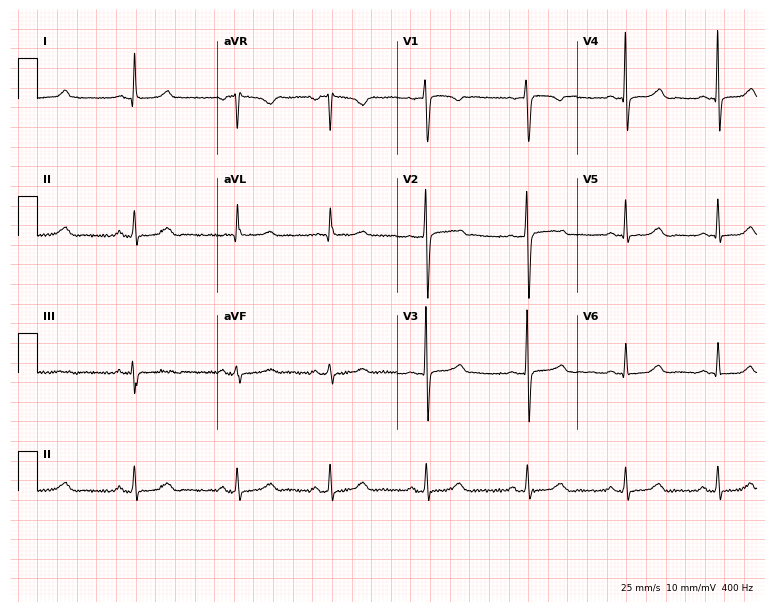
ECG — a woman, 47 years old. Labelled as a normal ECG.